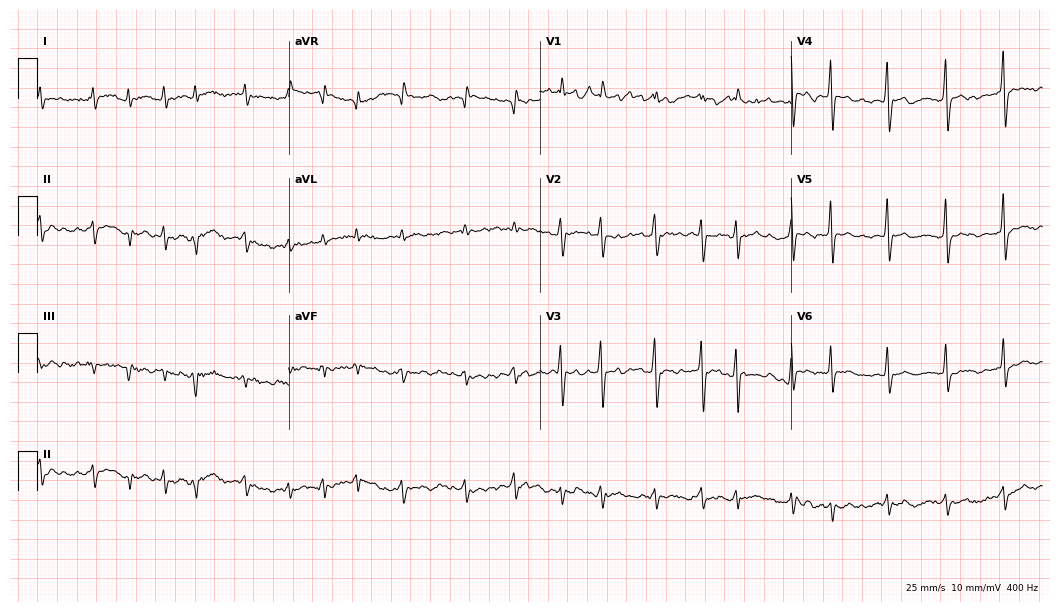
ECG — a male, 58 years old. Findings include atrial fibrillation.